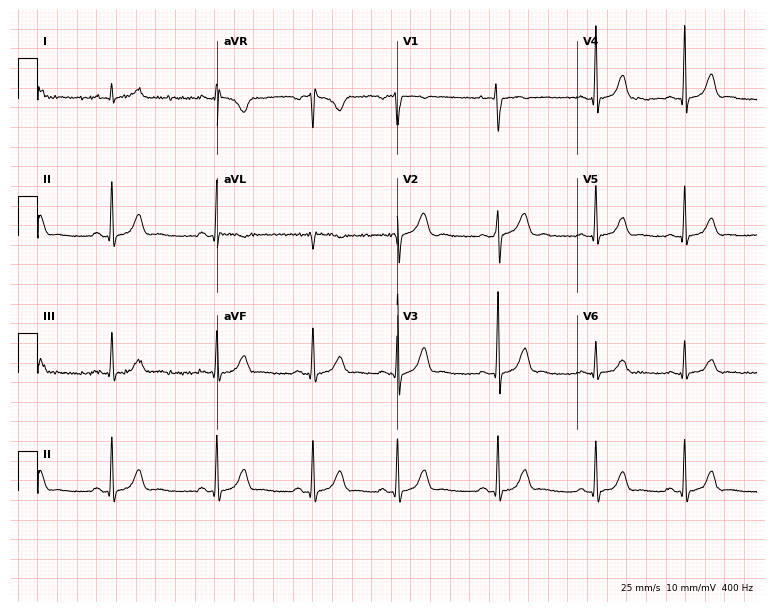
ECG — a woman, 21 years old. Labelled as a normal ECG.